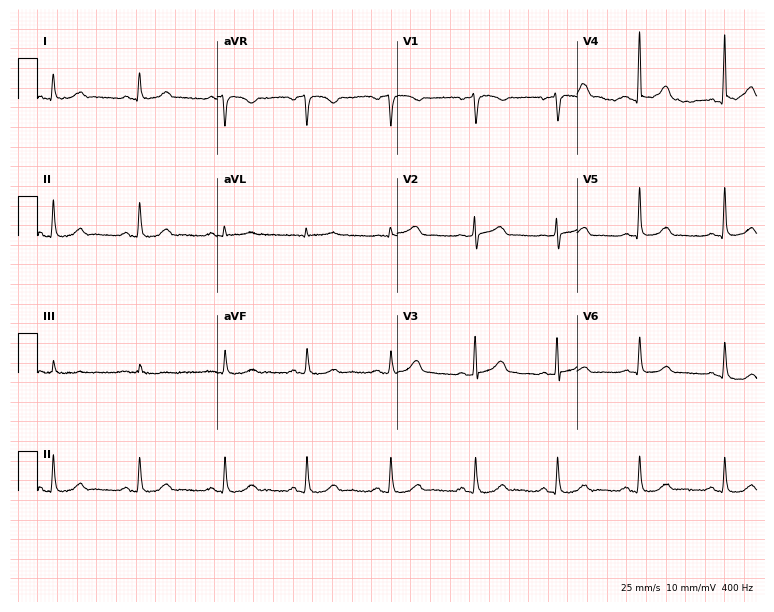
Standard 12-lead ECG recorded from a woman, 59 years old (7.3-second recording at 400 Hz). None of these six findings is recorded: first-degree AV block, right bundle branch block, left bundle branch block, sinus bradycardia, atrial fibrillation, sinus tachycardia. Findings outside these six are not listed.